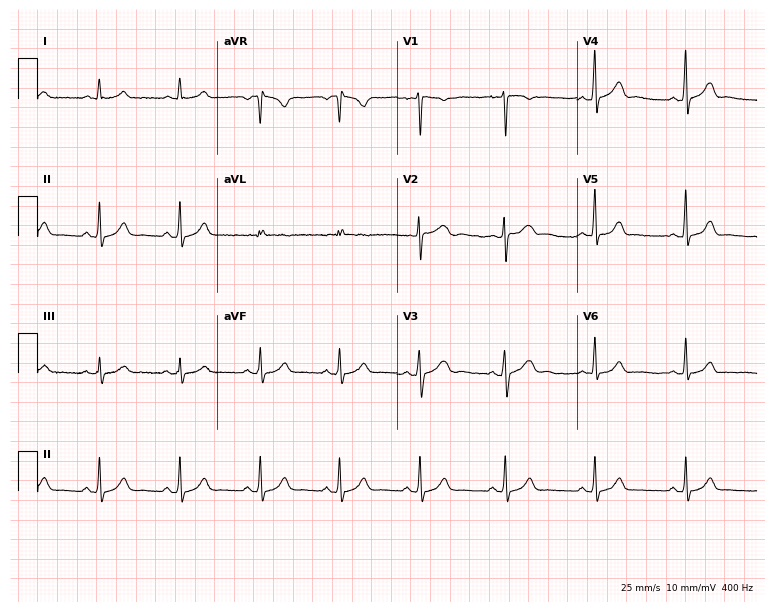
Electrocardiogram, a 31-year-old male. Overall reading on record: normal ECG.